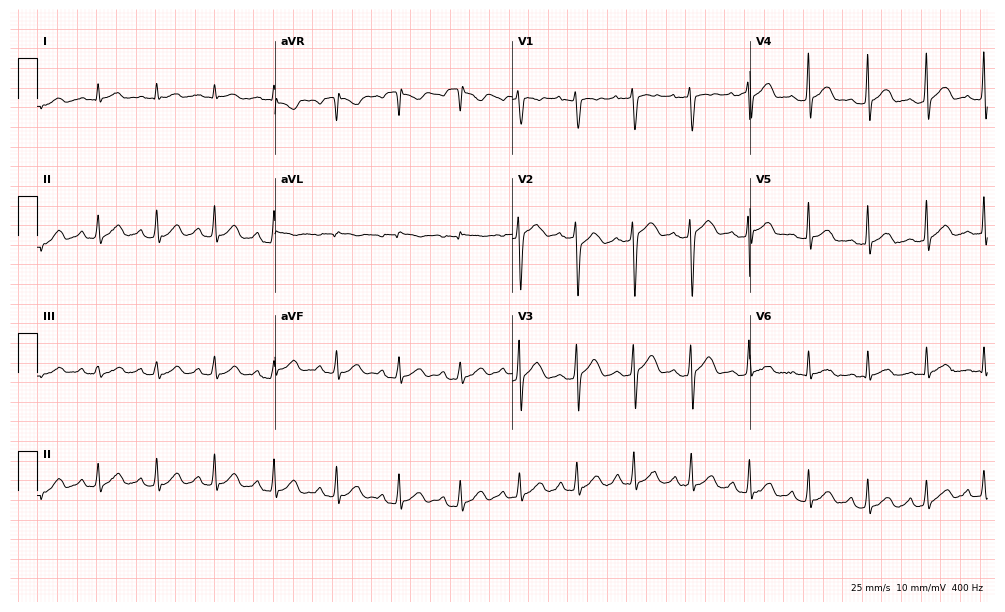
Electrocardiogram (9.7-second recording at 400 Hz), a male patient, 25 years old. Overall reading on record: normal ECG.